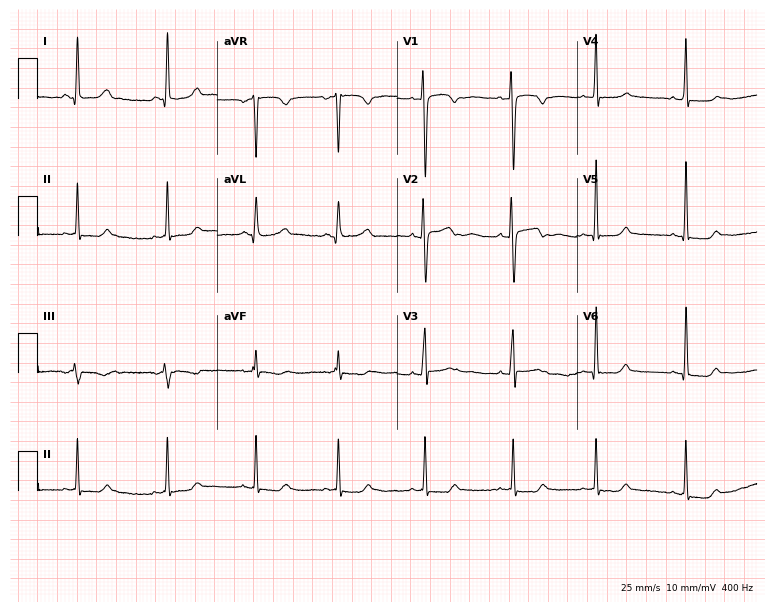
12-lead ECG from a female patient, 29 years old. No first-degree AV block, right bundle branch block (RBBB), left bundle branch block (LBBB), sinus bradycardia, atrial fibrillation (AF) or sinus tachycardia recorded for this tracing.